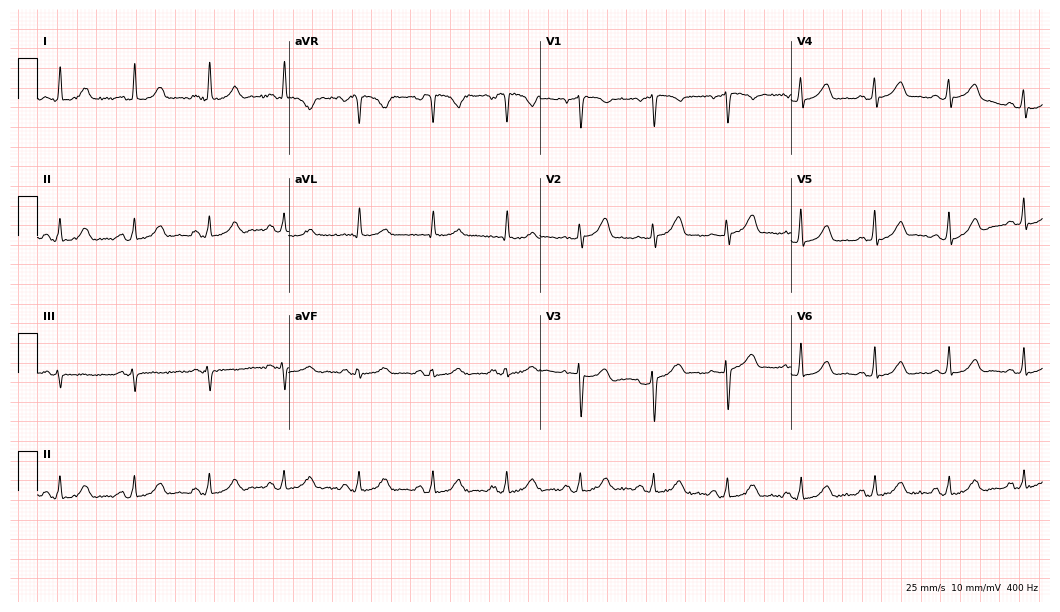
Resting 12-lead electrocardiogram. Patient: a 56-year-old female. Read as a normal ECG.